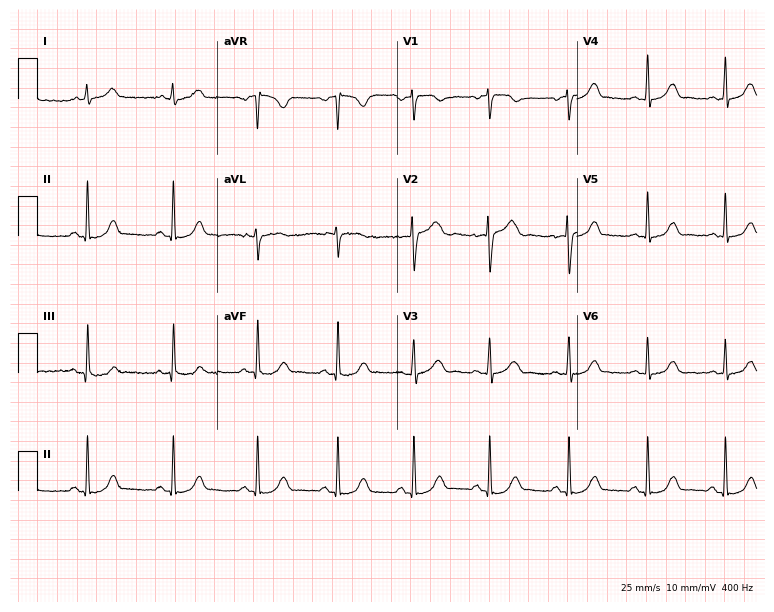
12-lead ECG (7.3-second recording at 400 Hz) from a 36-year-old woman. Labelled as a normal ECG.